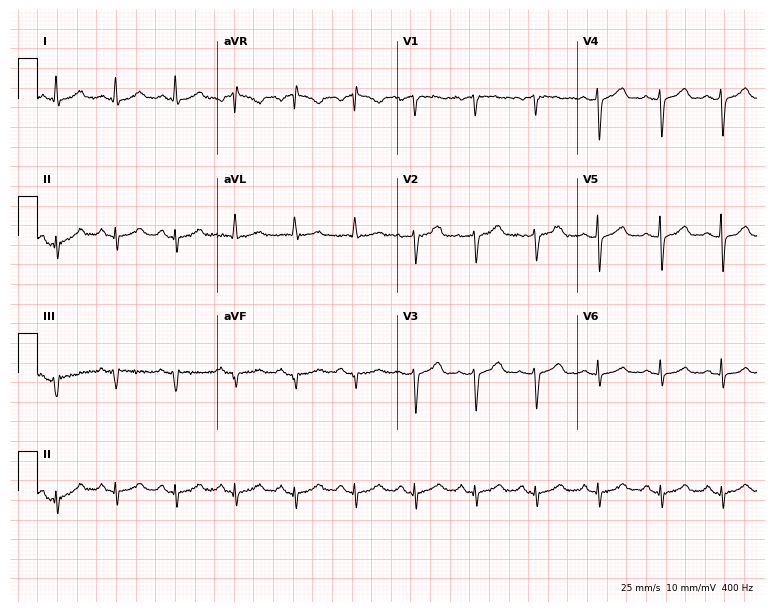
Resting 12-lead electrocardiogram (7.3-second recording at 400 Hz). Patient: a 50-year-old female. None of these six findings is recorded: first-degree AV block, right bundle branch block, left bundle branch block, sinus bradycardia, atrial fibrillation, sinus tachycardia.